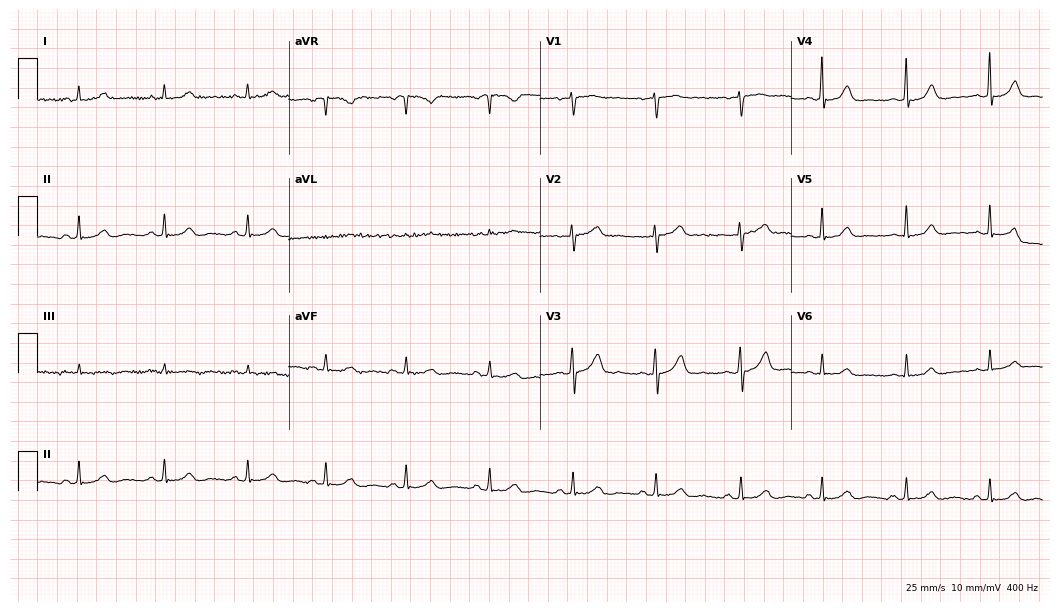
Standard 12-lead ECG recorded from a 31-year-old female patient. None of these six findings is recorded: first-degree AV block, right bundle branch block, left bundle branch block, sinus bradycardia, atrial fibrillation, sinus tachycardia. Findings outside these six are not listed.